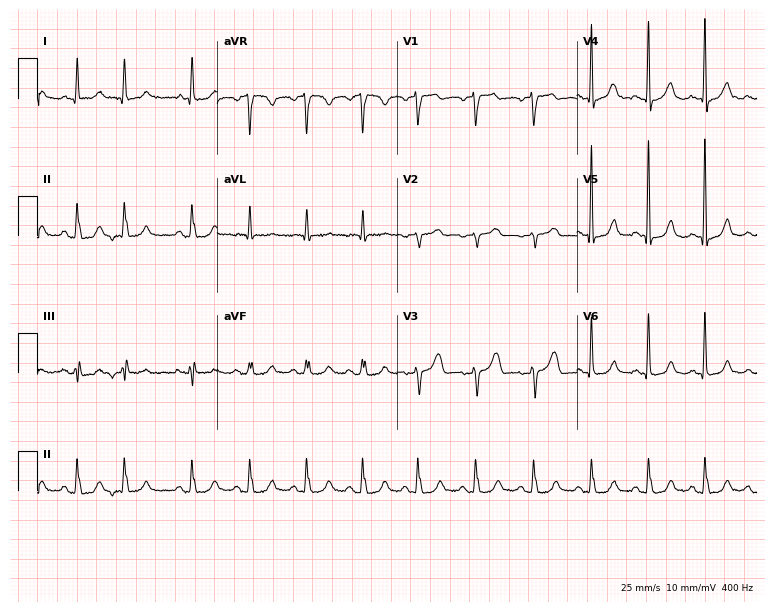
Resting 12-lead electrocardiogram (7.3-second recording at 400 Hz). Patient: a female, 83 years old. Read as a normal ECG.